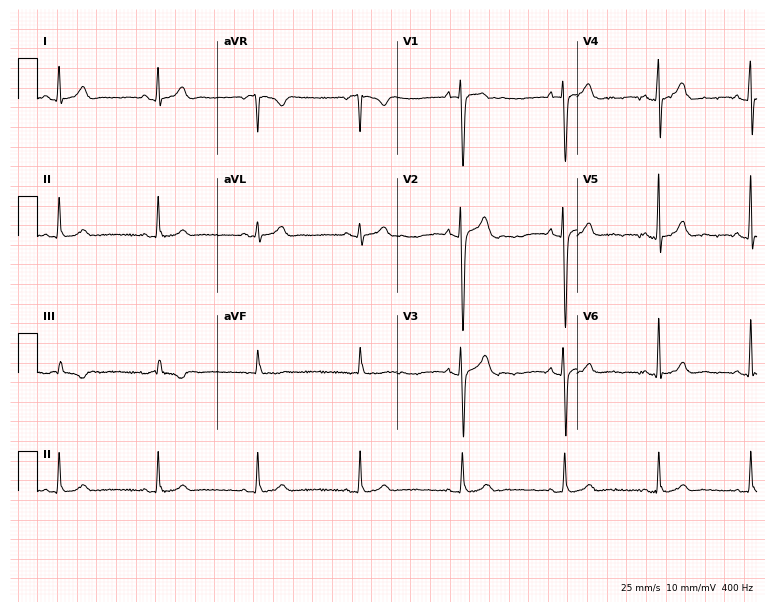
Resting 12-lead electrocardiogram. Patient: a male, 21 years old. Read as a normal ECG.